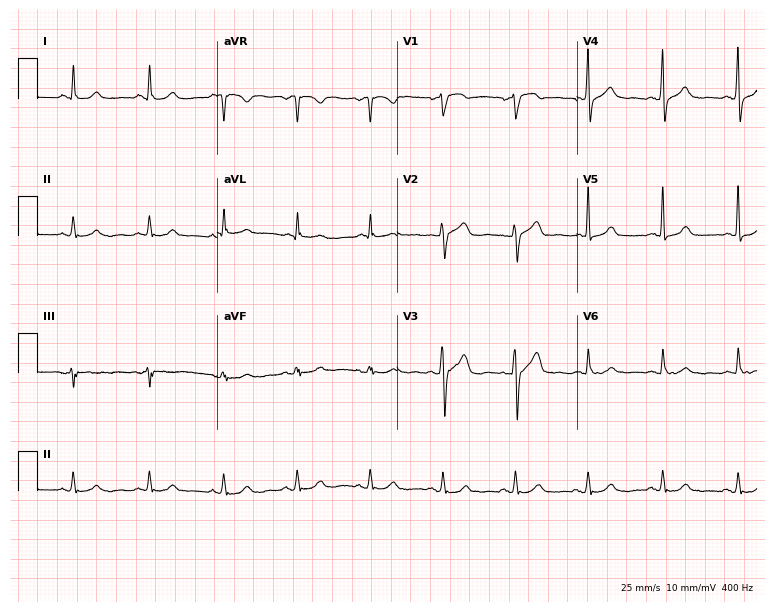
ECG (7.3-second recording at 400 Hz) — a male, 60 years old. Labelled as a normal ECG.